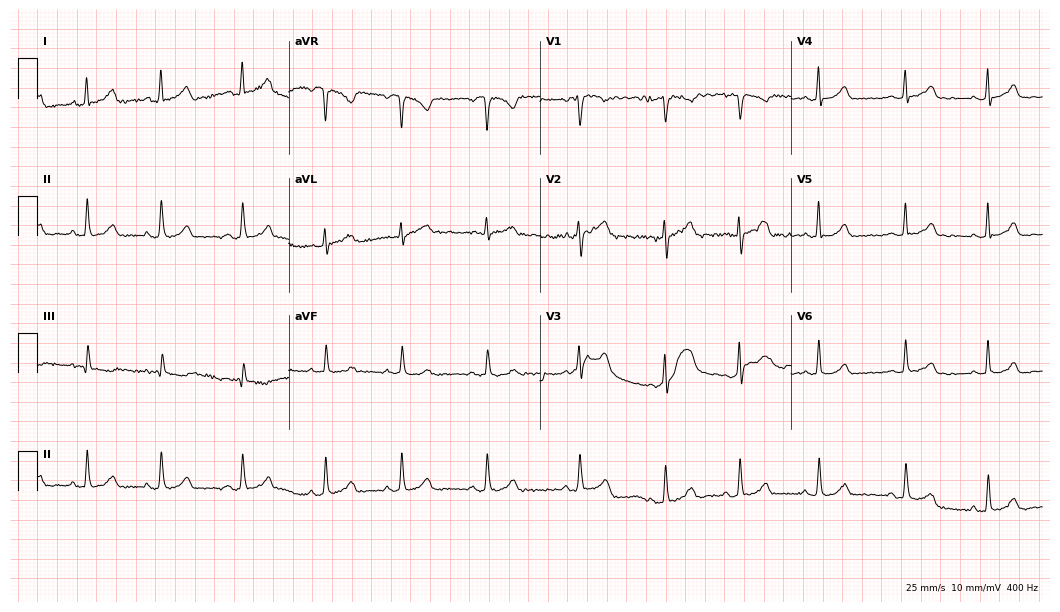
Electrocardiogram (10.2-second recording at 400 Hz), a 30-year-old woman. Overall reading on record: normal ECG.